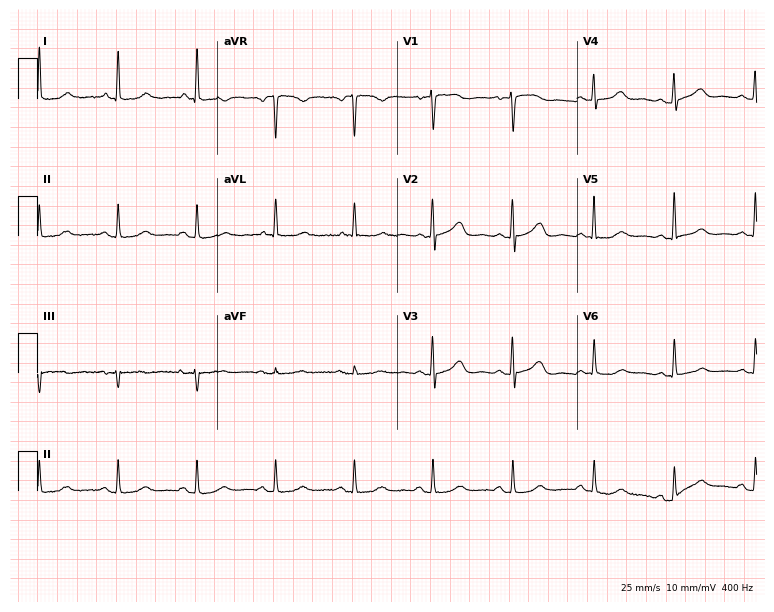
12-lead ECG (7.3-second recording at 400 Hz) from an 86-year-old female. Labelled as a normal ECG.